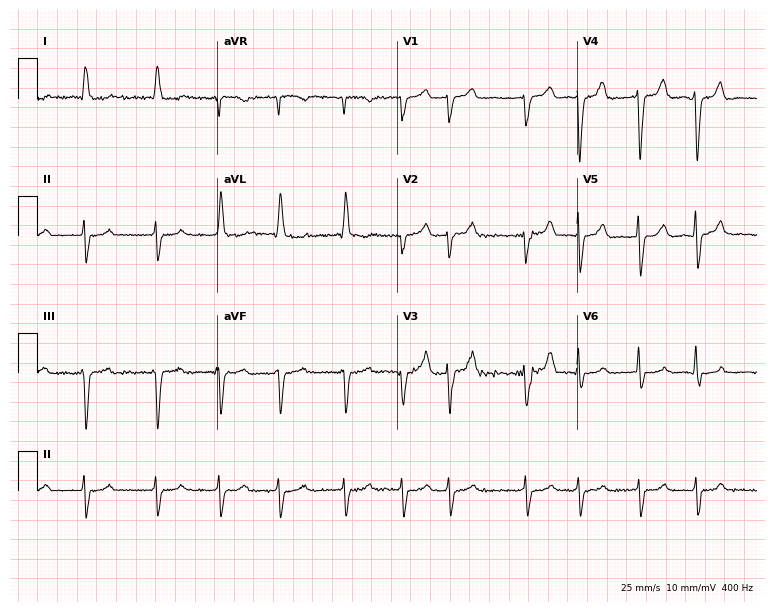
Electrocardiogram (7.3-second recording at 400 Hz), an 86-year-old female patient. Interpretation includes atrial fibrillation (AF).